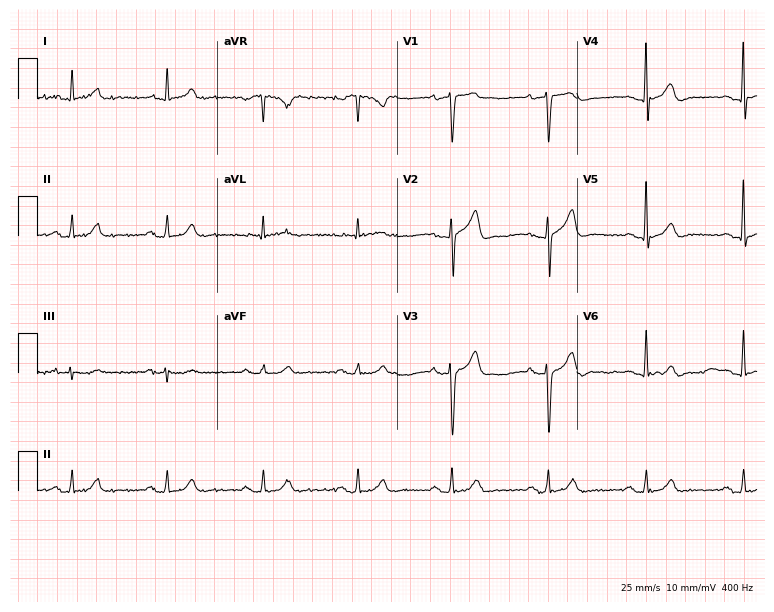
12-lead ECG from a 69-year-old man (7.3-second recording at 400 Hz). Recorded interpretation: within normal limits.